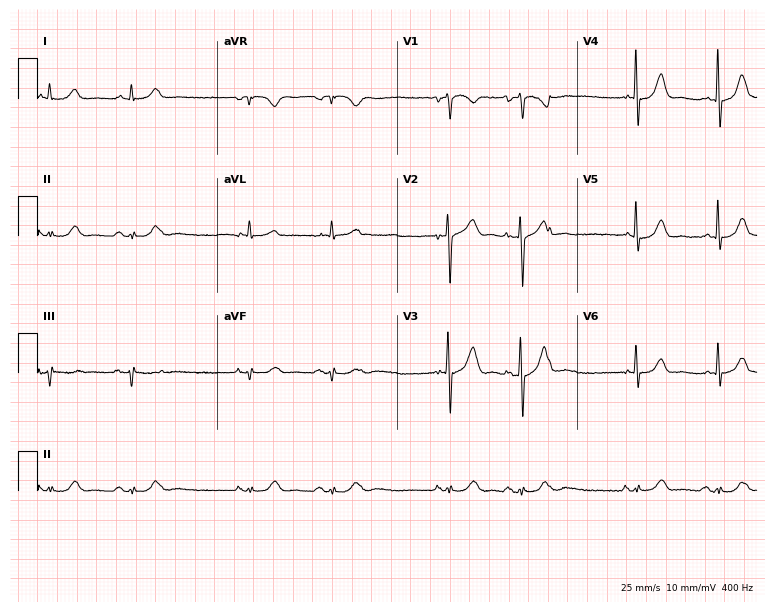
Electrocardiogram, an 81-year-old male patient. Of the six screened findings (first-degree AV block, right bundle branch block, left bundle branch block, sinus bradycardia, atrial fibrillation, sinus tachycardia), none is recorded. Other findings, if any, are not listed.